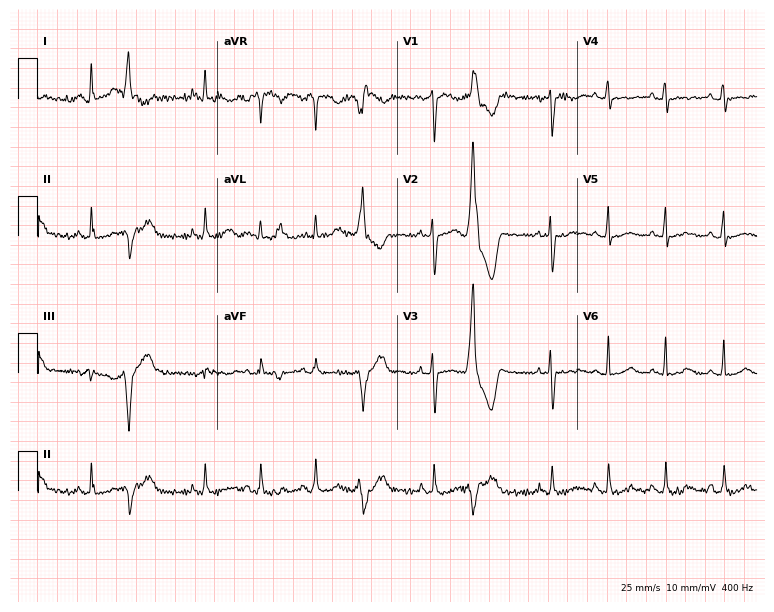
Resting 12-lead electrocardiogram. Patient: a 37-year-old female. The tracing shows sinus tachycardia (a sinus rate of 100 beats per minute or more).